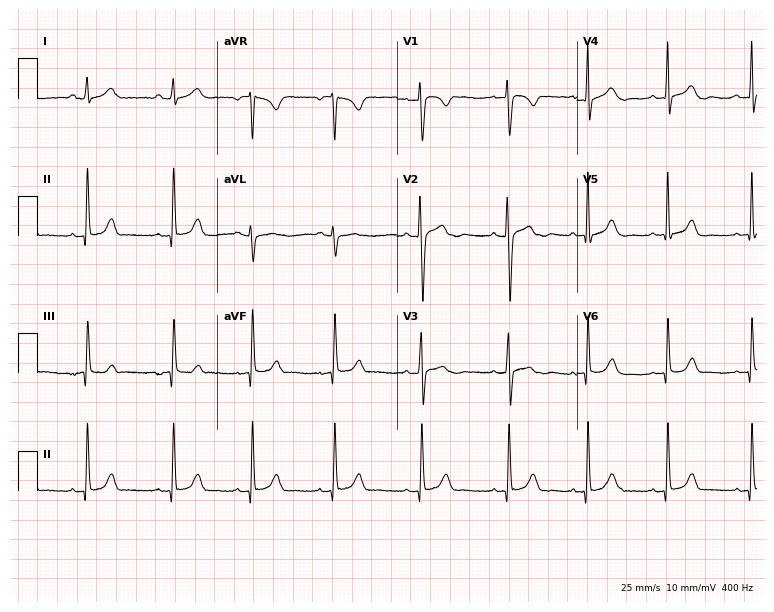
Resting 12-lead electrocardiogram (7.3-second recording at 400 Hz). Patient: a 22-year-old female. Read as a normal ECG.